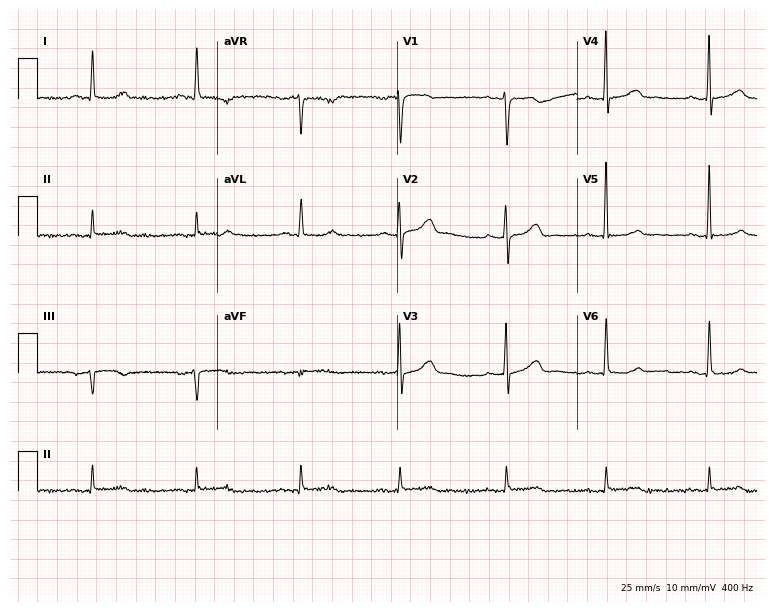
12-lead ECG from a 63-year-old female patient. No first-degree AV block, right bundle branch block, left bundle branch block, sinus bradycardia, atrial fibrillation or sinus tachycardia recorded for this tracing.